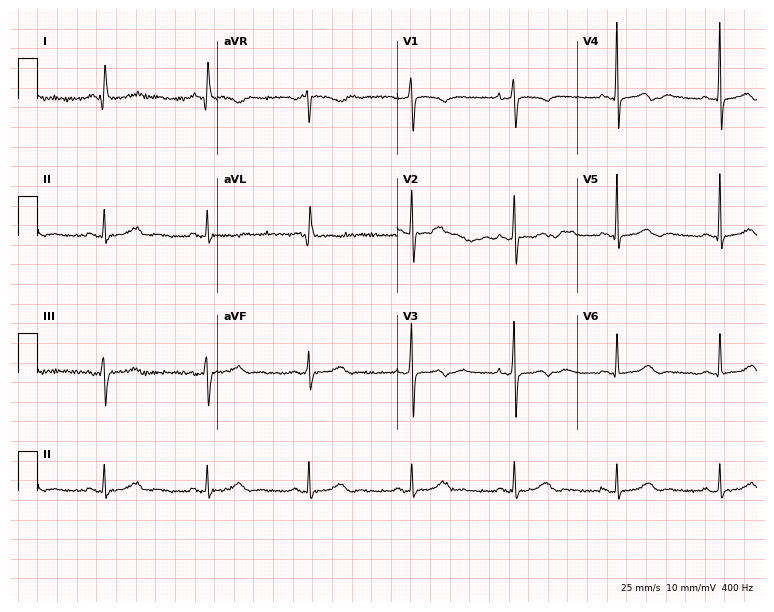
Resting 12-lead electrocardiogram (7.3-second recording at 400 Hz). Patient: a female, 76 years old. None of these six findings is recorded: first-degree AV block, right bundle branch block, left bundle branch block, sinus bradycardia, atrial fibrillation, sinus tachycardia.